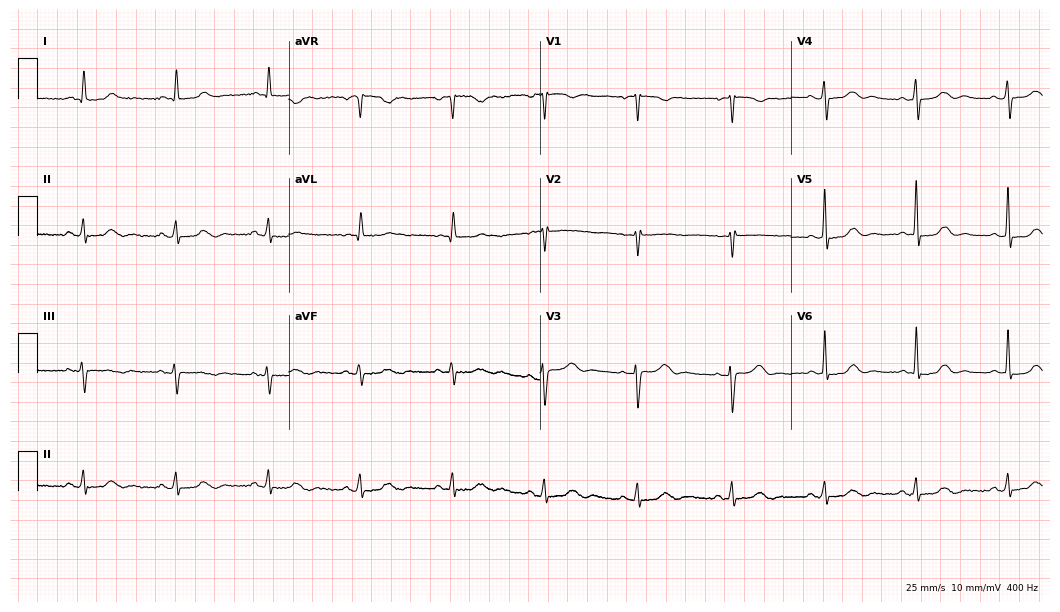
12-lead ECG (10.2-second recording at 400 Hz) from a 62-year-old female patient. Labelled as a normal ECG.